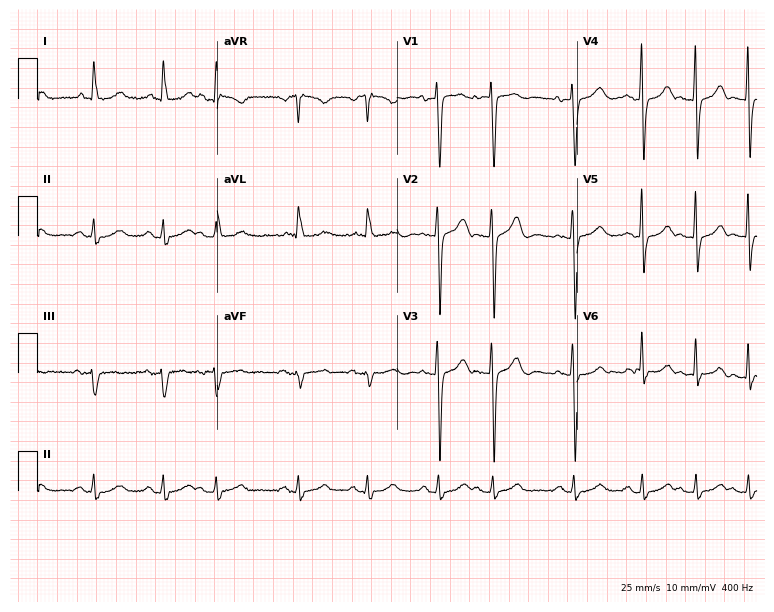
Resting 12-lead electrocardiogram. Patient: a female, 78 years old. None of these six findings is recorded: first-degree AV block, right bundle branch block, left bundle branch block, sinus bradycardia, atrial fibrillation, sinus tachycardia.